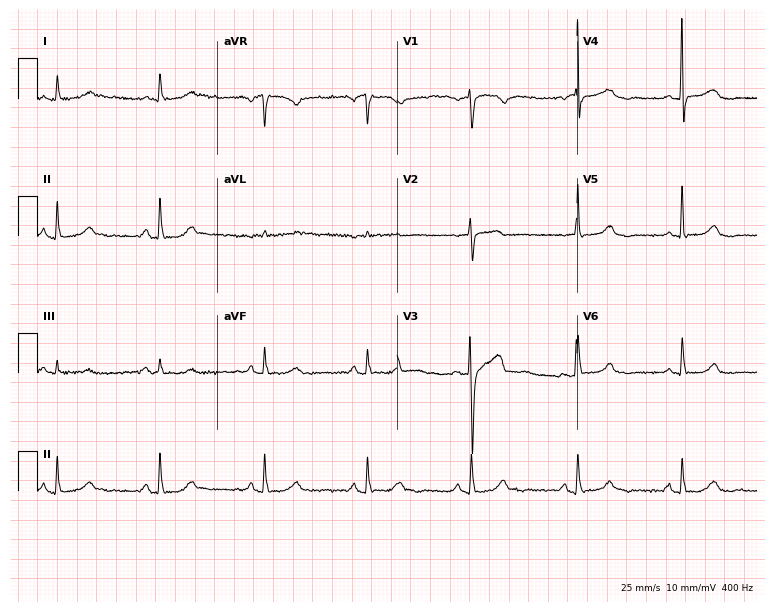
Electrocardiogram, a female patient, 50 years old. Overall reading on record: normal ECG.